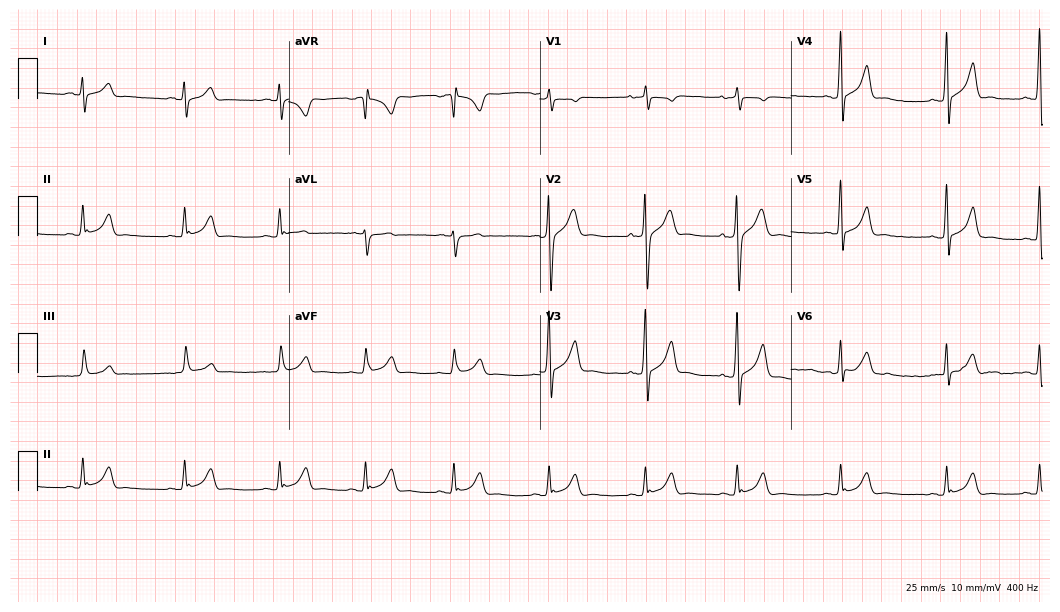
ECG — a 21-year-old male patient. Labelled as a normal ECG.